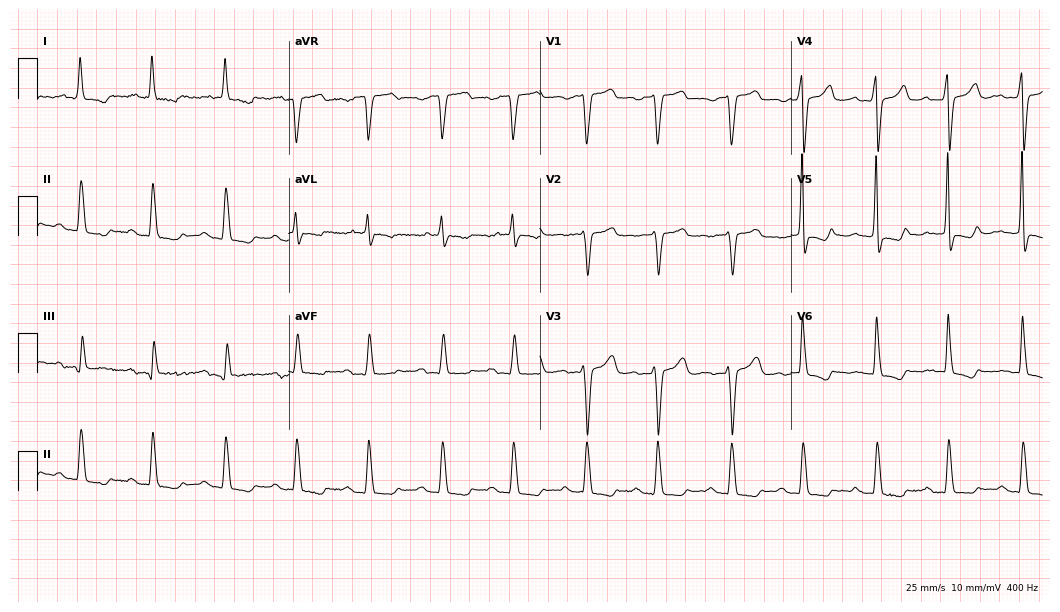
ECG (10.2-second recording at 400 Hz) — a 66-year-old female. Findings include first-degree AV block.